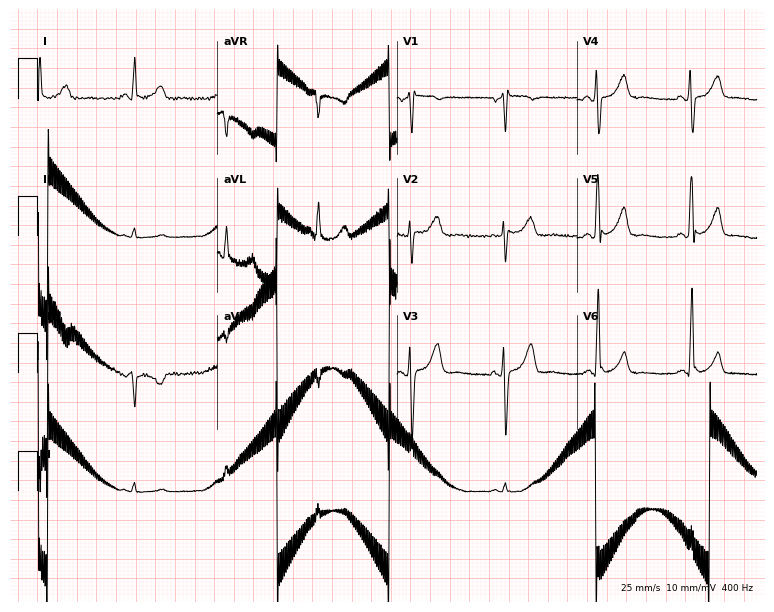
Electrocardiogram, a man, 56 years old. Of the six screened findings (first-degree AV block, right bundle branch block (RBBB), left bundle branch block (LBBB), sinus bradycardia, atrial fibrillation (AF), sinus tachycardia), none is recorded.